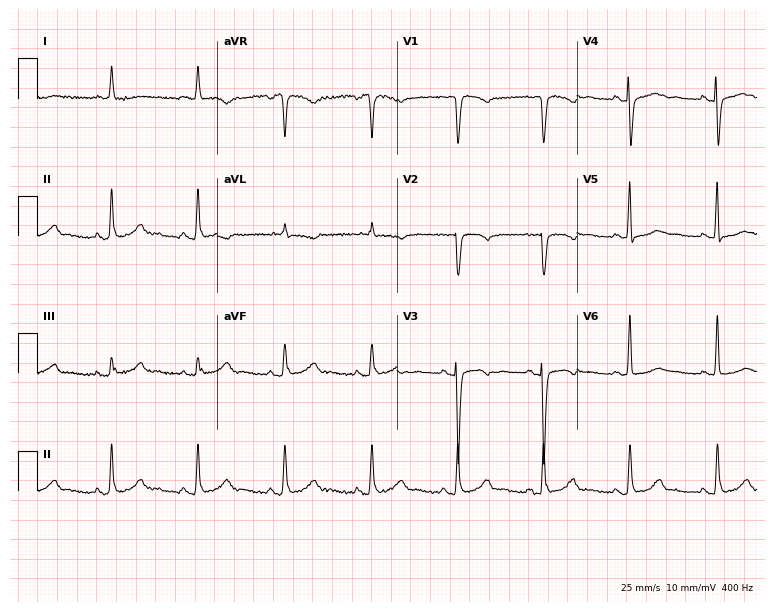
Standard 12-lead ECG recorded from a 77-year-old female patient (7.3-second recording at 400 Hz). Read as a normal ECG.